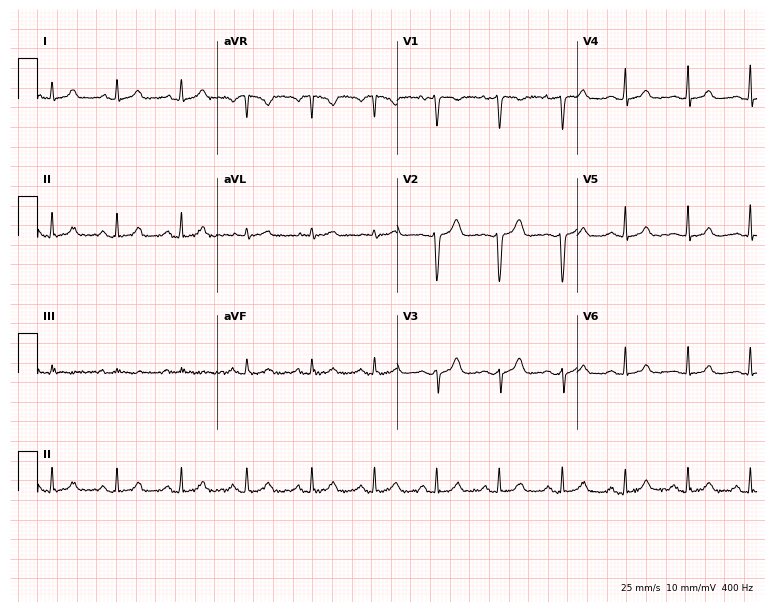
ECG — a female patient, 19 years old. Labelled as a normal ECG.